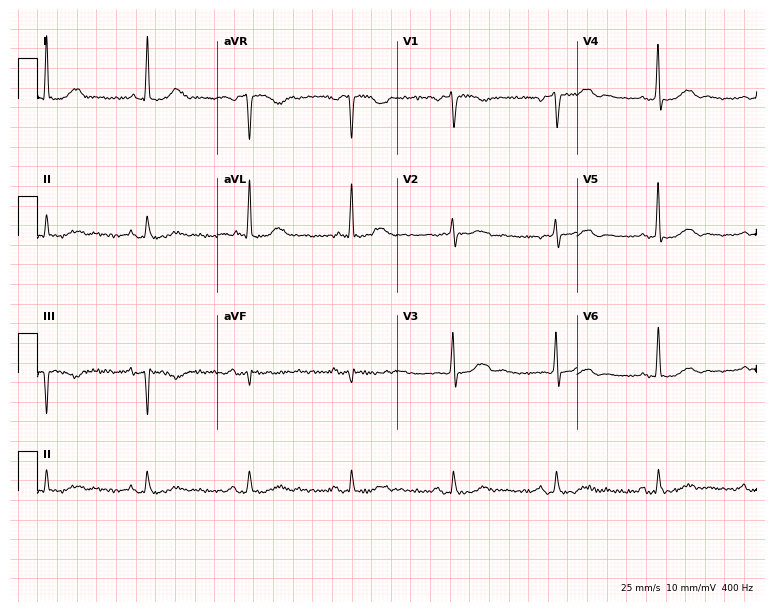
12-lead ECG from an 82-year-old female. Screened for six findings — first-degree AV block, right bundle branch block, left bundle branch block, sinus bradycardia, atrial fibrillation, sinus tachycardia — none is recorded.